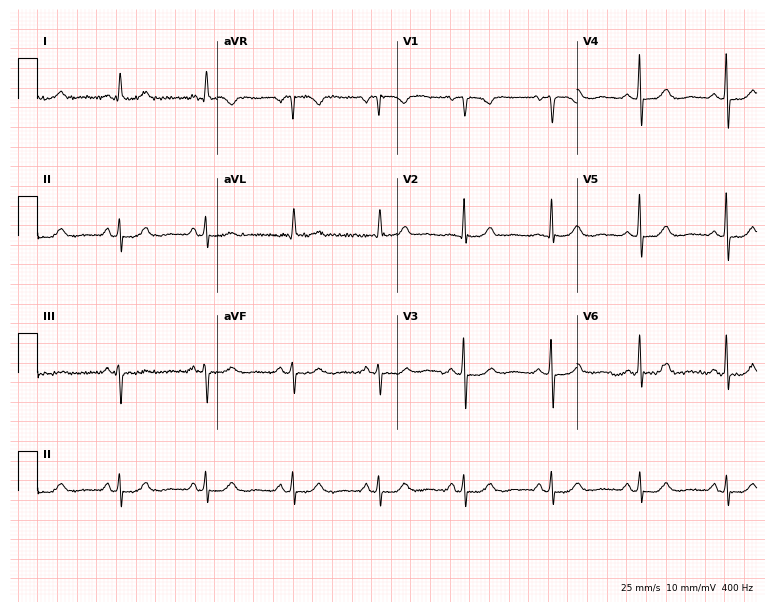
ECG — a 71-year-old female patient. Labelled as a normal ECG.